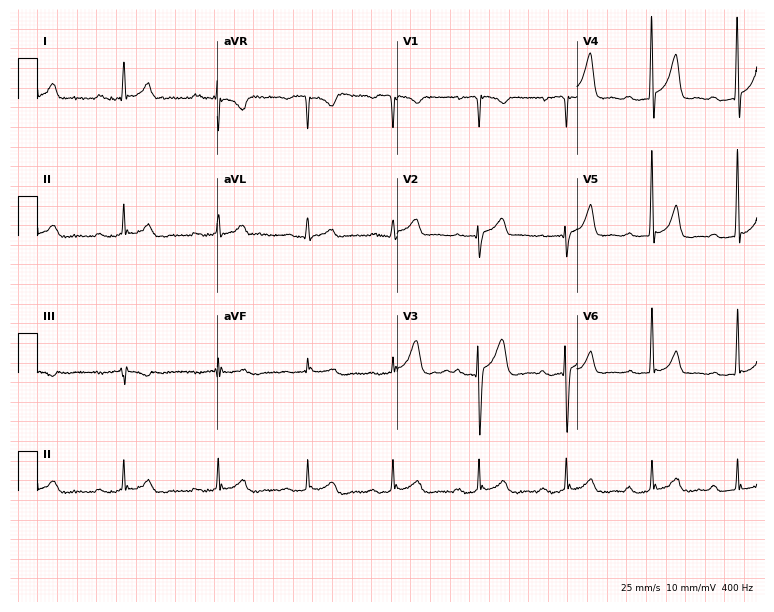
12-lead ECG from a male patient, 22 years old (7.3-second recording at 400 Hz). Shows first-degree AV block.